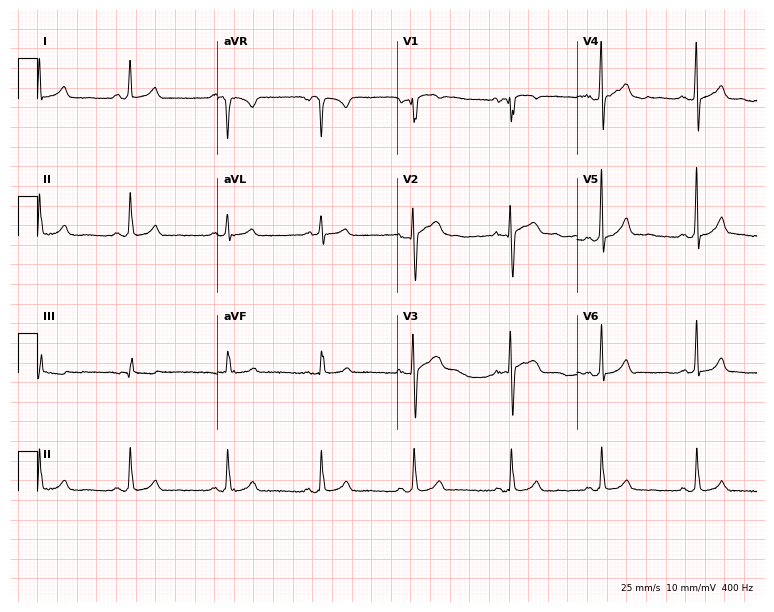
Standard 12-lead ECG recorded from a male, 37 years old. Read as a normal ECG.